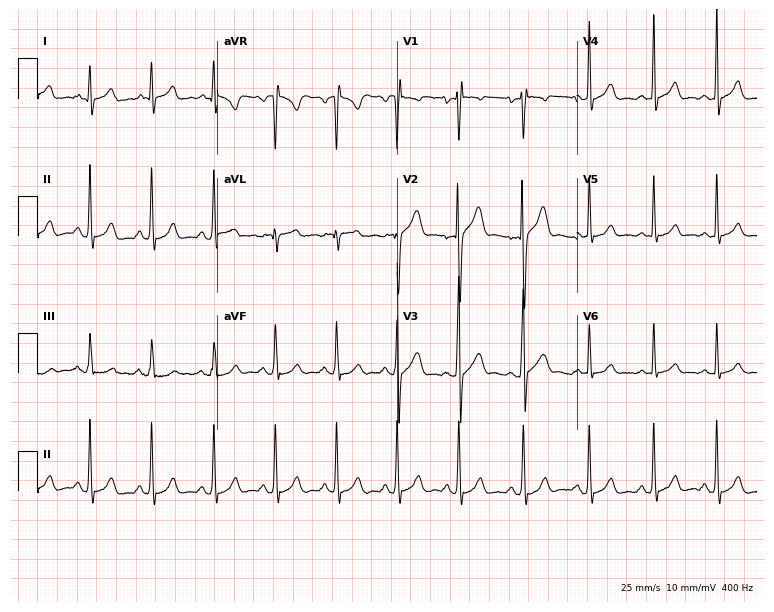
Resting 12-lead electrocardiogram (7.3-second recording at 400 Hz). Patient: a 19-year-old man. Read as a normal ECG.